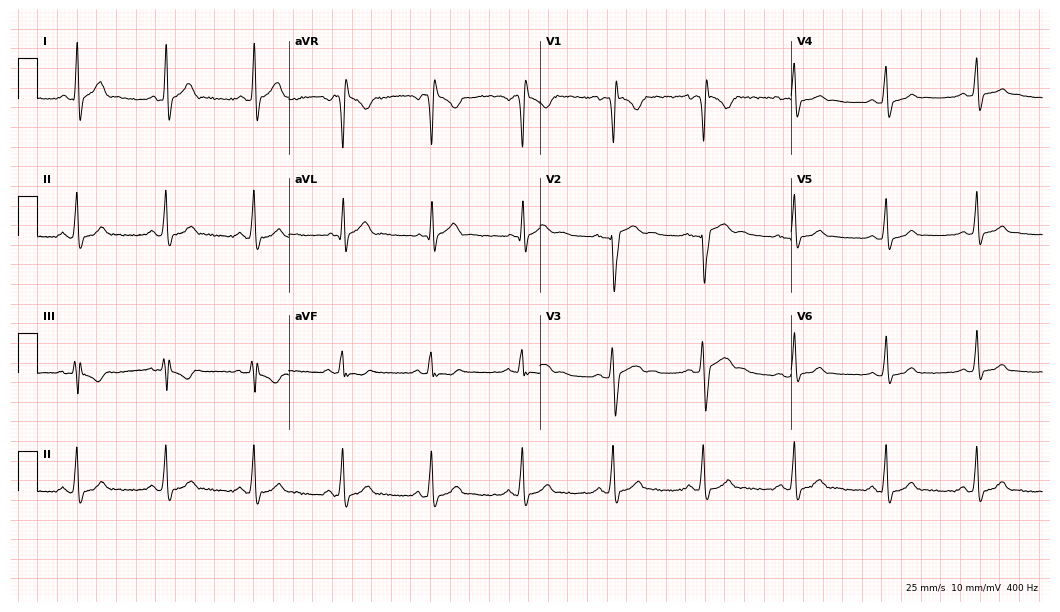
12-lead ECG from a man, 22 years old. Screened for six findings — first-degree AV block, right bundle branch block, left bundle branch block, sinus bradycardia, atrial fibrillation, sinus tachycardia — none is recorded.